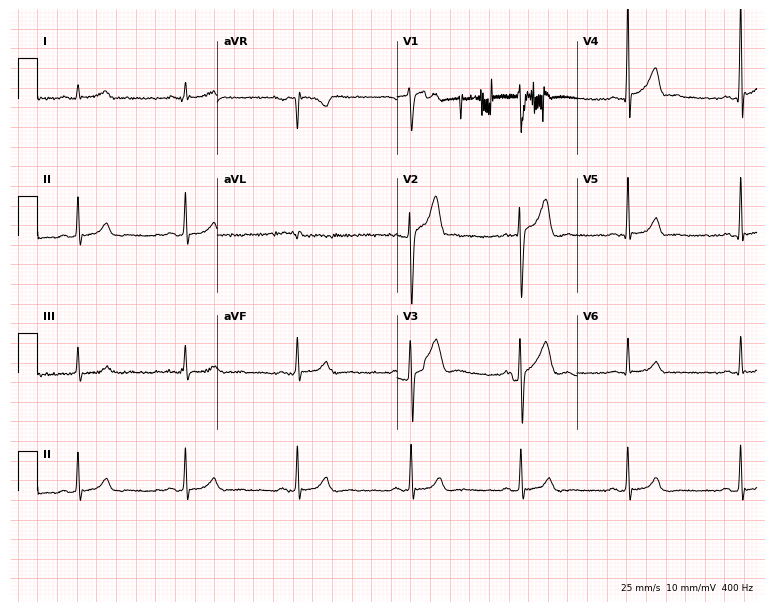
12-lead ECG from a man, 26 years old (7.3-second recording at 400 Hz). Recorded interpretation: within normal limits.